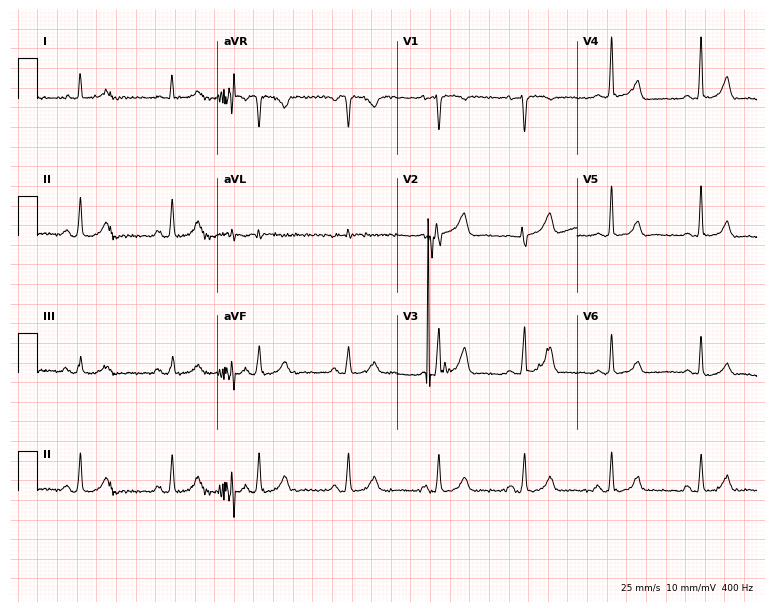
12-lead ECG from a female, 47 years old. Recorded interpretation: within normal limits.